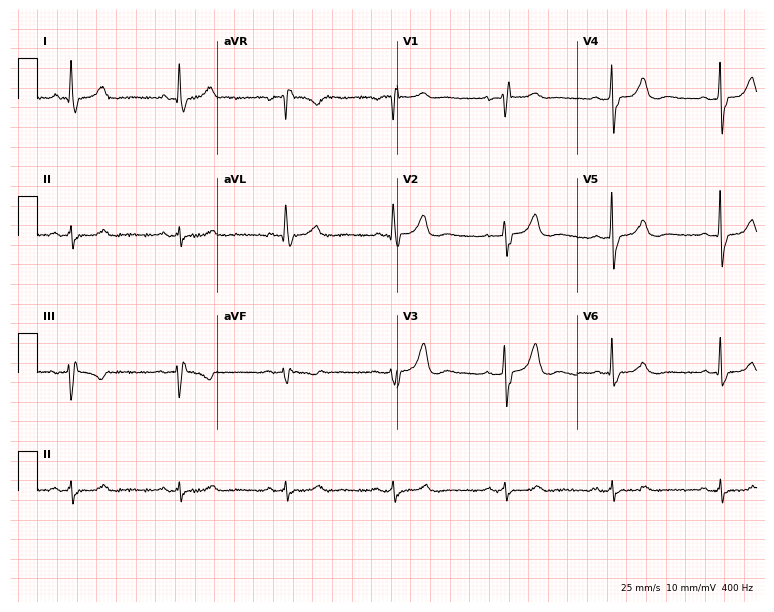
ECG — a female patient, 77 years old. Findings include right bundle branch block (RBBB).